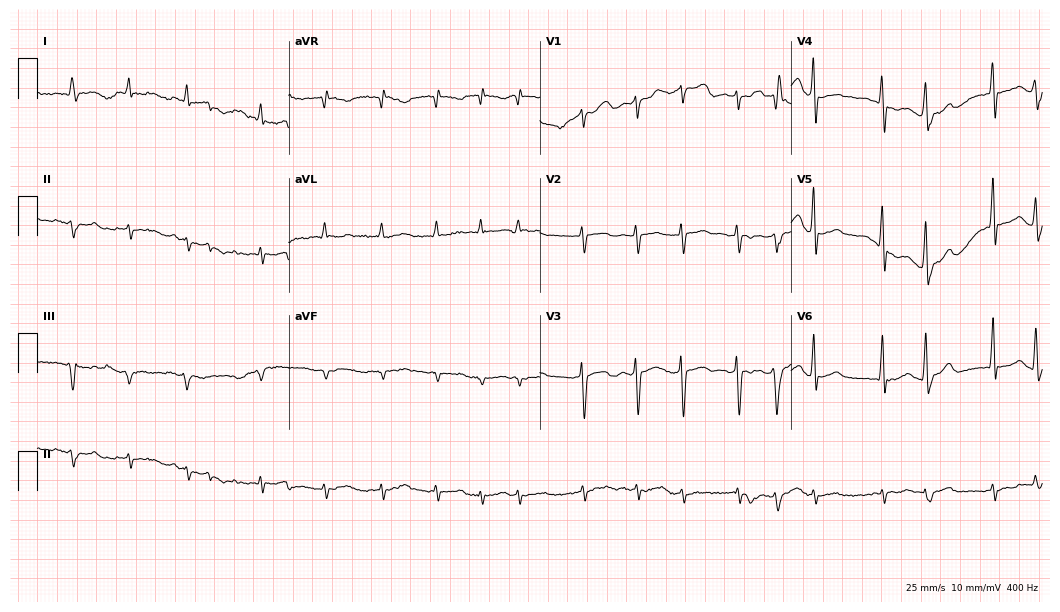
Resting 12-lead electrocardiogram (10.2-second recording at 400 Hz). Patient: a male, 73 years old. The tracing shows atrial fibrillation (AF).